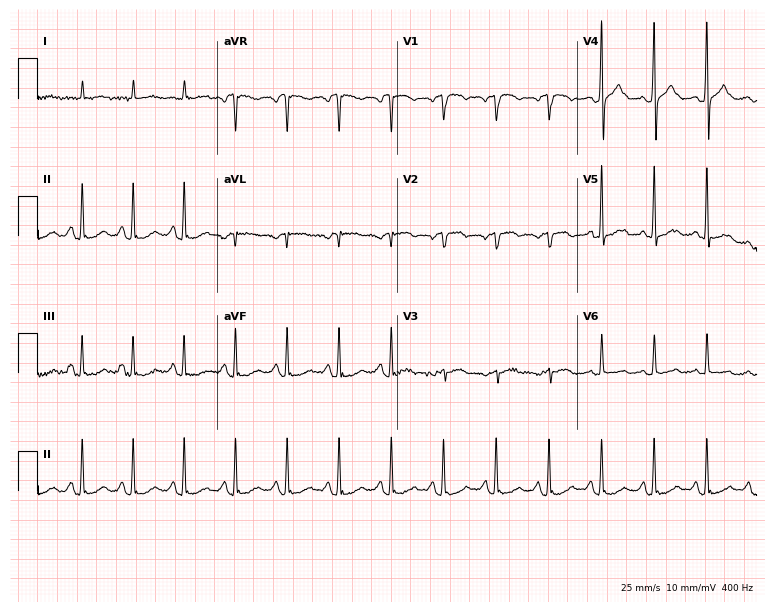
Standard 12-lead ECG recorded from a 76-year-old woman (7.3-second recording at 400 Hz). None of these six findings is recorded: first-degree AV block, right bundle branch block, left bundle branch block, sinus bradycardia, atrial fibrillation, sinus tachycardia.